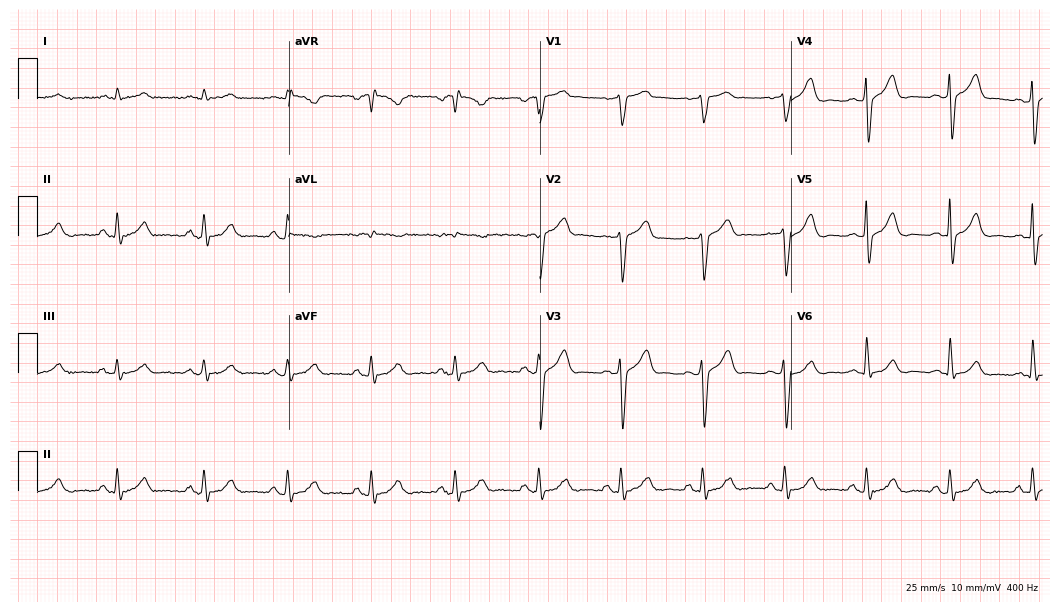
12-lead ECG (10.2-second recording at 400 Hz) from a male patient, 74 years old. Screened for six findings — first-degree AV block, right bundle branch block, left bundle branch block, sinus bradycardia, atrial fibrillation, sinus tachycardia — none is recorded. Findings outside these six are not listed.